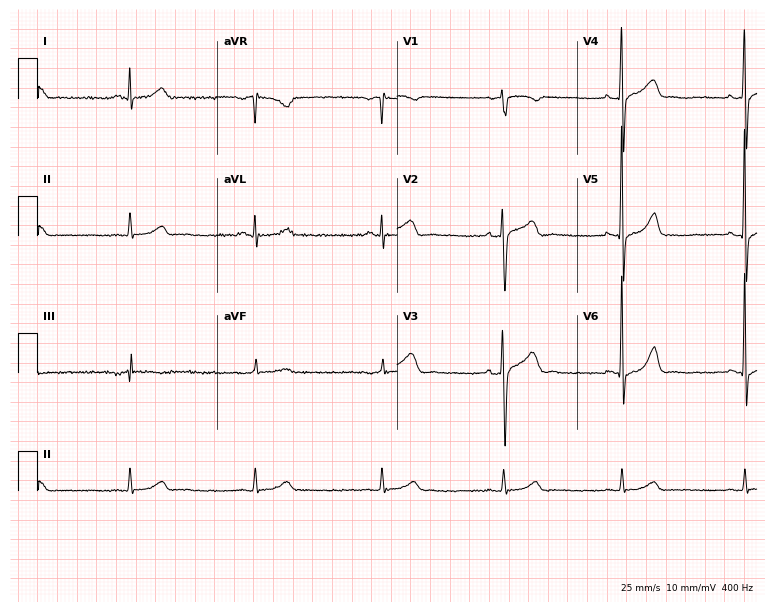
Resting 12-lead electrocardiogram. Patient: a man, 47 years old. The tracing shows sinus bradycardia (a sinus rate of 50 beats per minute or less).